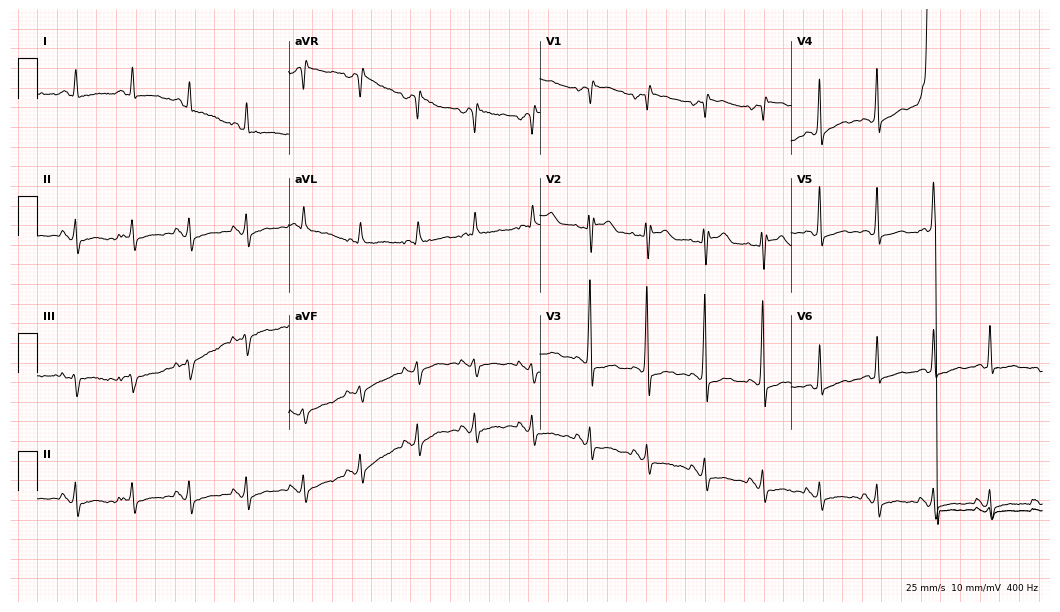
Electrocardiogram, a female, 38 years old. Of the six screened findings (first-degree AV block, right bundle branch block, left bundle branch block, sinus bradycardia, atrial fibrillation, sinus tachycardia), none is recorded. Findings outside these six are not listed.